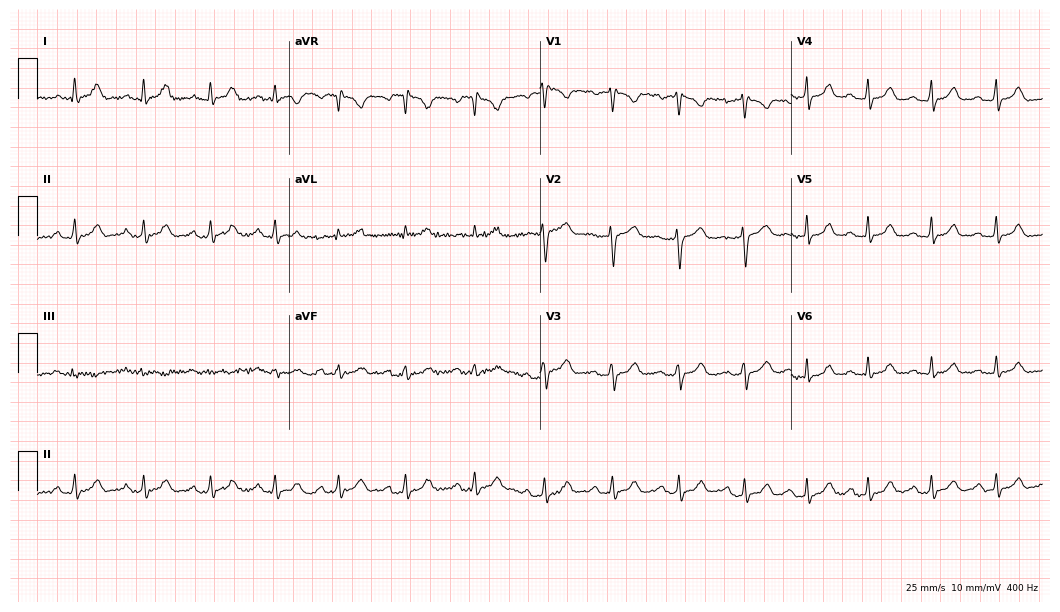
Resting 12-lead electrocardiogram (10.2-second recording at 400 Hz). Patient: a woman, 31 years old. None of these six findings is recorded: first-degree AV block, right bundle branch block, left bundle branch block, sinus bradycardia, atrial fibrillation, sinus tachycardia. Findings outside these six are not listed.